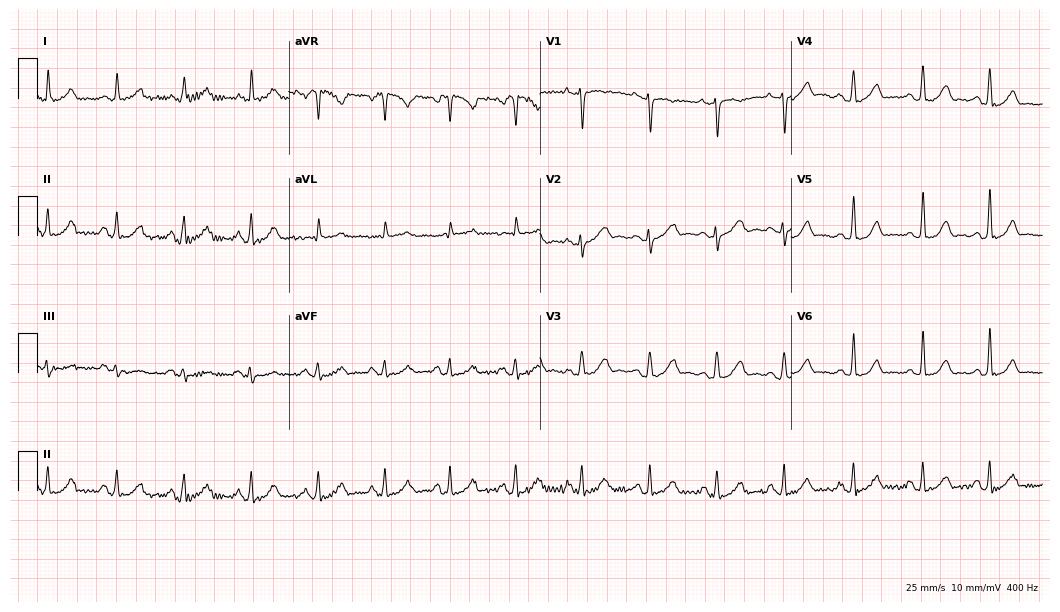
Electrocardiogram, a woman, 28 years old. Overall reading on record: normal ECG.